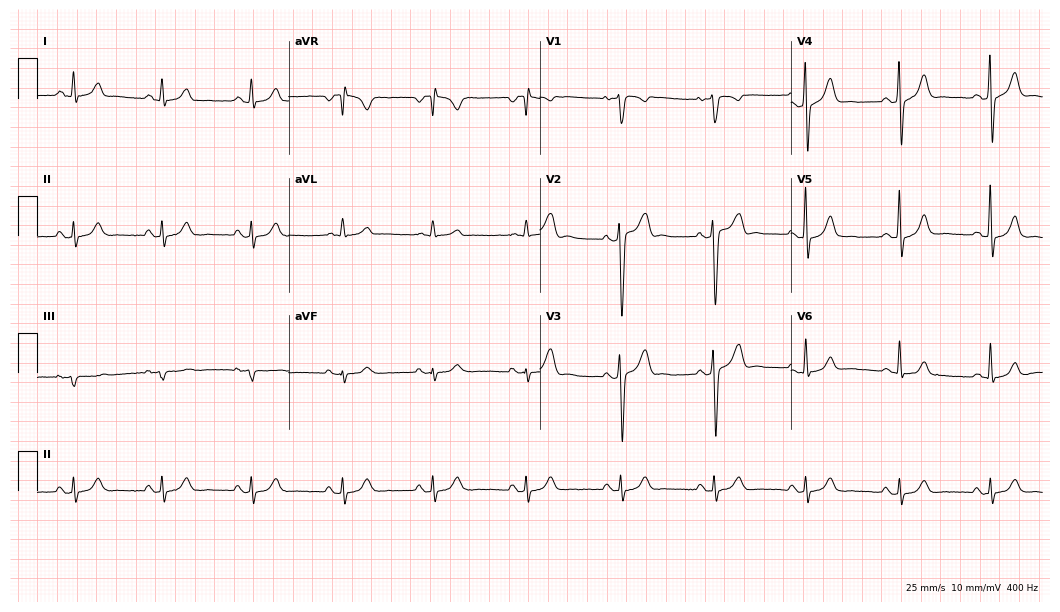
12-lead ECG from a 27-year-old male (10.2-second recording at 400 Hz). No first-degree AV block, right bundle branch block, left bundle branch block, sinus bradycardia, atrial fibrillation or sinus tachycardia recorded for this tracing.